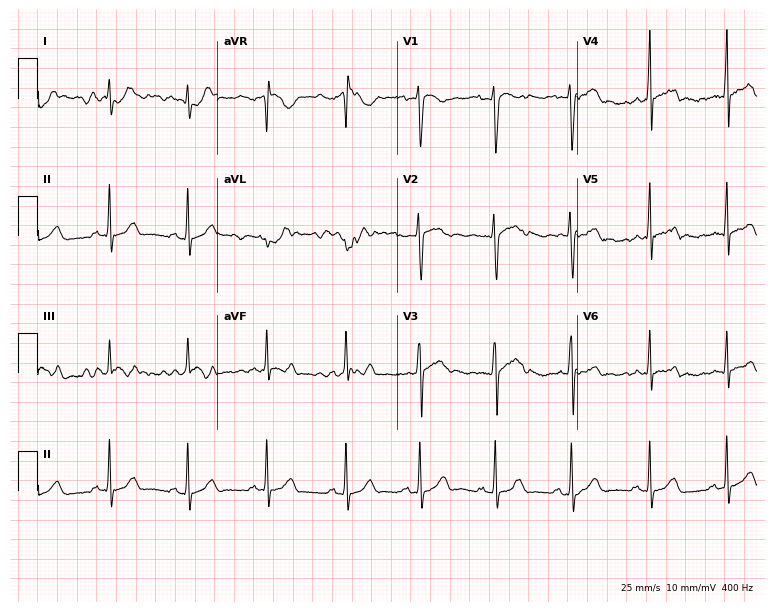
Standard 12-lead ECG recorded from a man, 19 years old (7.3-second recording at 400 Hz). None of these six findings is recorded: first-degree AV block, right bundle branch block, left bundle branch block, sinus bradycardia, atrial fibrillation, sinus tachycardia.